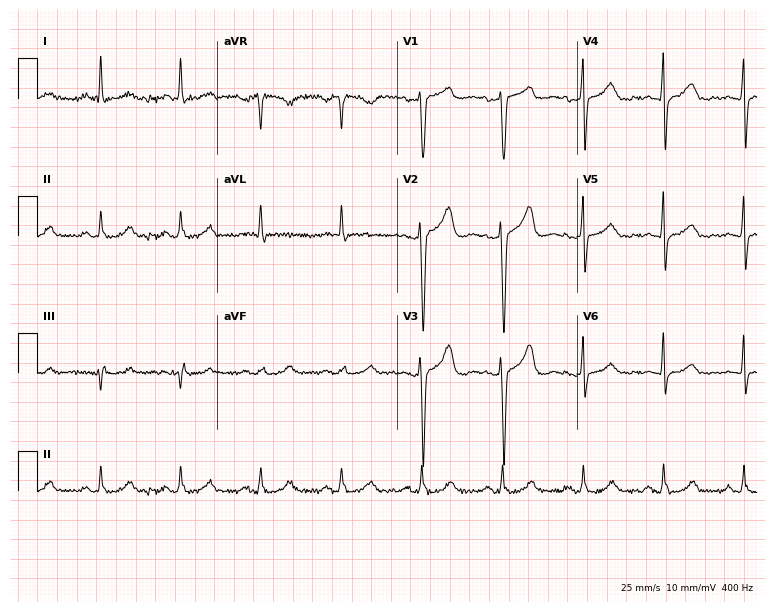
12-lead ECG from a female patient, 53 years old (7.3-second recording at 400 Hz). No first-degree AV block, right bundle branch block, left bundle branch block, sinus bradycardia, atrial fibrillation or sinus tachycardia recorded for this tracing.